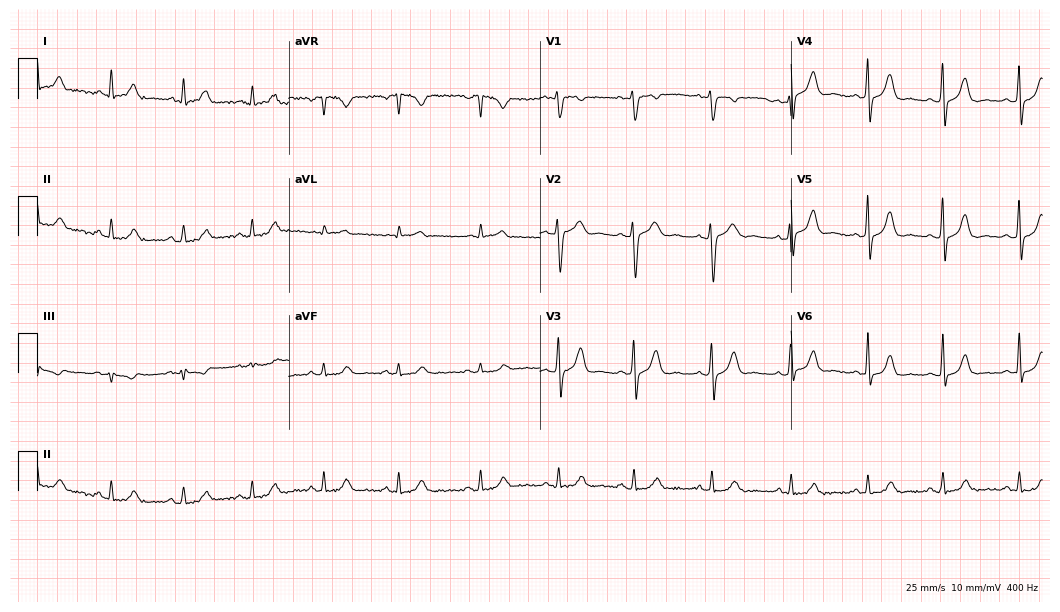
Resting 12-lead electrocardiogram (10.2-second recording at 400 Hz). Patient: a woman, 45 years old. None of these six findings is recorded: first-degree AV block, right bundle branch block, left bundle branch block, sinus bradycardia, atrial fibrillation, sinus tachycardia.